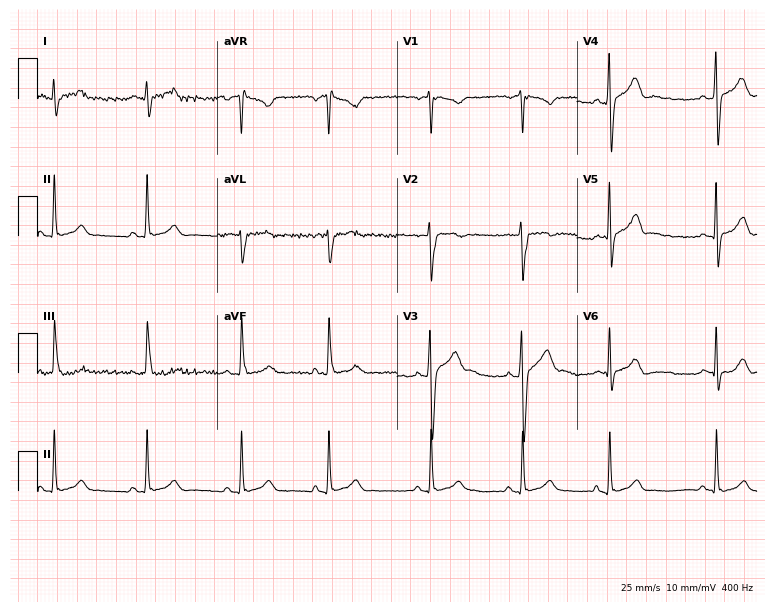
Electrocardiogram, a 17-year-old male patient. Overall reading on record: normal ECG.